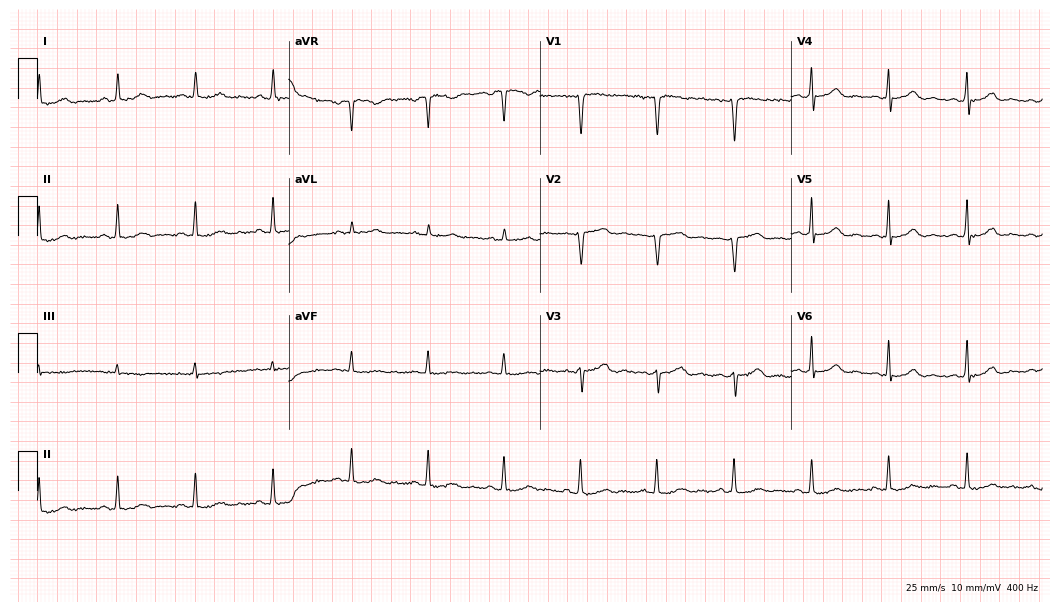
Standard 12-lead ECG recorded from a woman, 39 years old. None of these six findings is recorded: first-degree AV block, right bundle branch block (RBBB), left bundle branch block (LBBB), sinus bradycardia, atrial fibrillation (AF), sinus tachycardia.